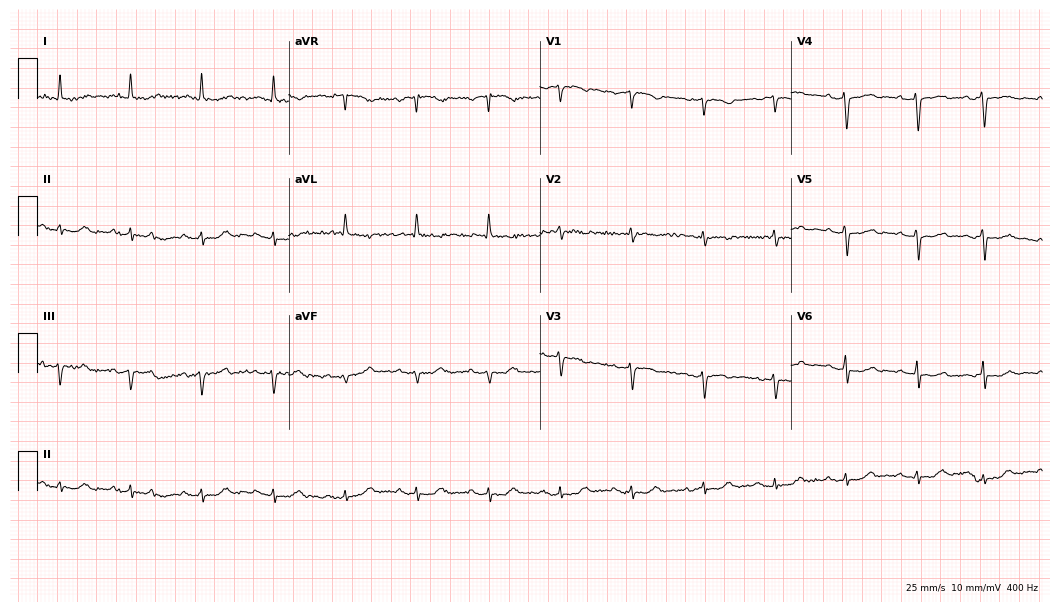
12-lead ECG from a 73-year-old woman. Screened for six findings — first-degree AV block, right bundle branch block (RBBB), left bundle branch block (LBBB), sinus bradycardia, atrial fibrillation (AF), sinus tachycardia — none is recorded. Findings outside these six are not listed.